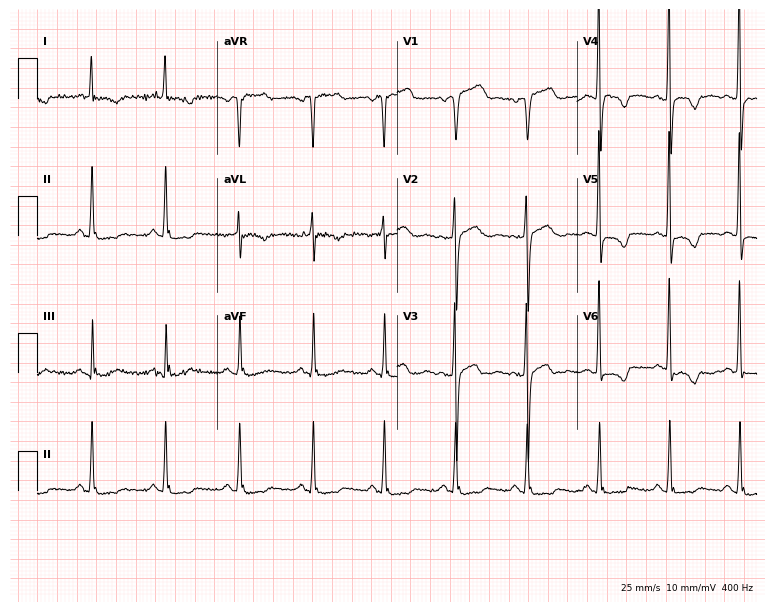
Resting 12-lead electrocardiogram (7.3-second recording at 400 Hz). Patient: a female, 47 years old. None of these six findings is recorded: first-degree AV block, right bundle branch block, left bundle branch block, sinus bradycardia, atrial fibrillation, sinus tachycardia. Findings outside these six are not listed.